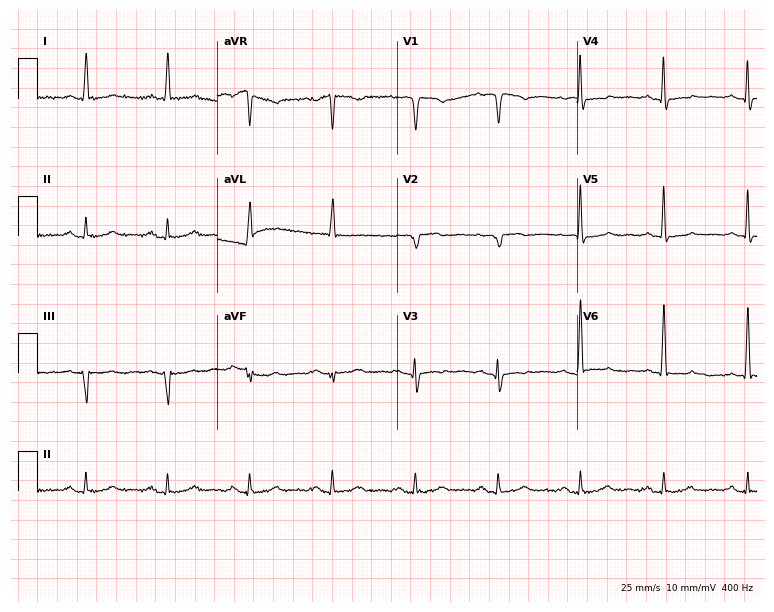
12-lead ECG from a 65-year-old female patient. Screened for six findings — first-degree AV block, right bundle branch block, left bundle branch block, sinus bradycardia, atrial fibrillation, sinus tachycardia — none is recorded.